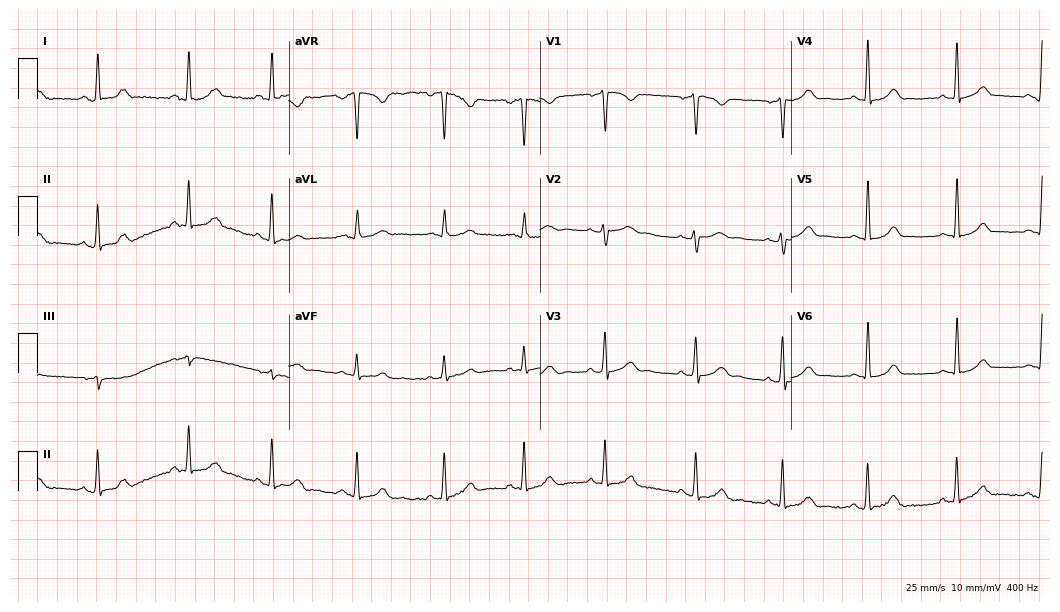
ECG (10.2-second recording at 400 Hz) — a 43-year-old female patient. Labelled as a normal ECG.